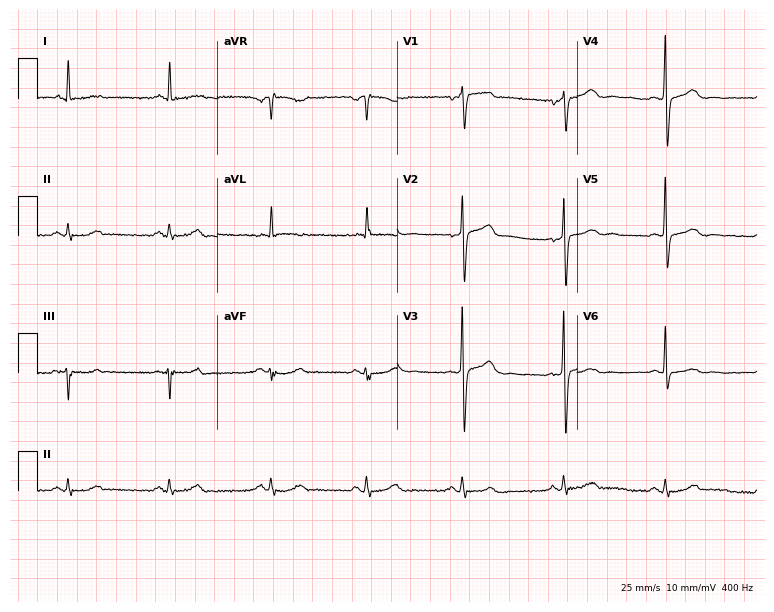
12-lead ECG (7.3-second recording at 400 Hz) from a male, 65 years old. Labelled as a normal ECG.